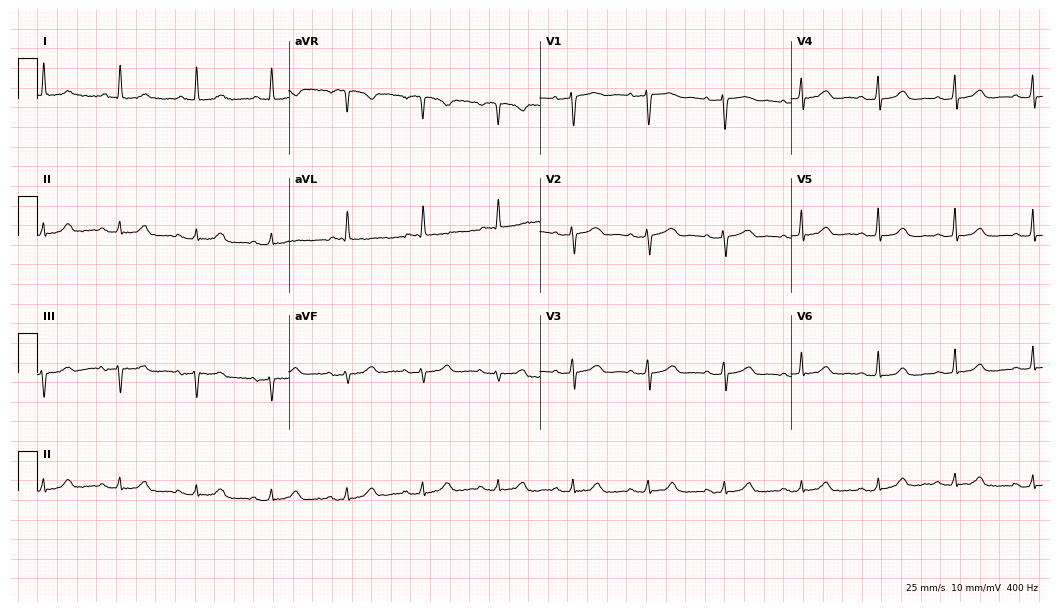
12-lead ECG (10.2-second recording at 400 Hz) from a woman, 74 years old. Screened for six findings — first-degree AV block, right bundle branch block (RBBB), left bundle branch block (LBBB), sinus bradycardia, atrial fibrillation (AF), sinus tachycardia — none is recorded.